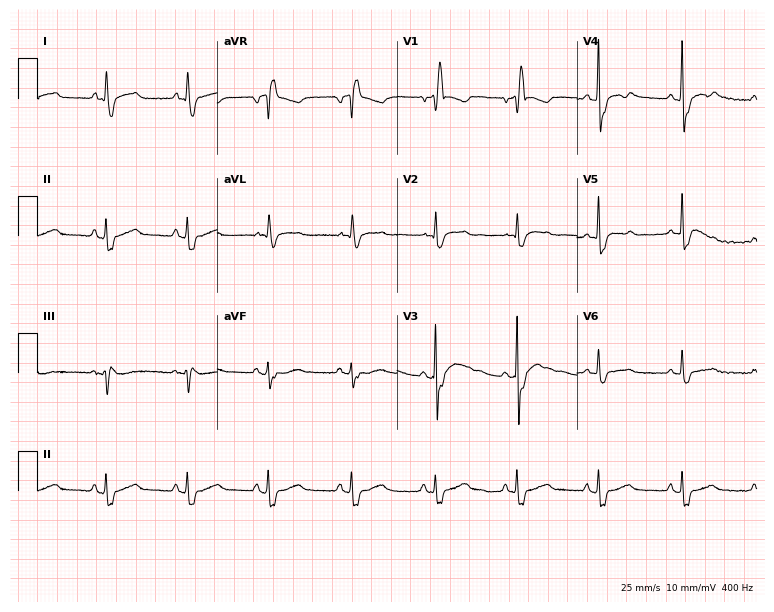
12-lead ECG from a 78-year-old male patient. Screened for six findings — first-degree AV block, right bundle branch block, left bundle branch block, sinus bradycardia, atrial fibrillation, sinus tachycardia — none is recorded. Only these six findings were labelled.